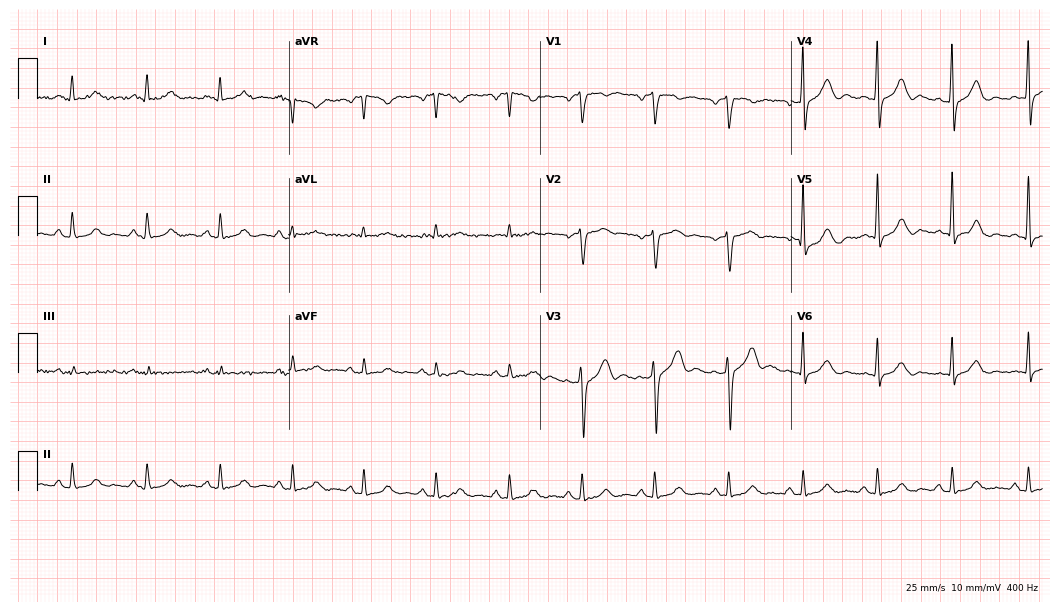
Resting 12-lead electrocardiogram (10.2-second recording at 400 Hz). Patient: a 69-year-old male. None of these six findings is recorded: first-degree AV block, right bundle branch block (RBBB), left bundle branch block (LBBB), sinus bradycardia, atrial fibrillation (AF), sinus tachycardia. Only these six findings were labelled.